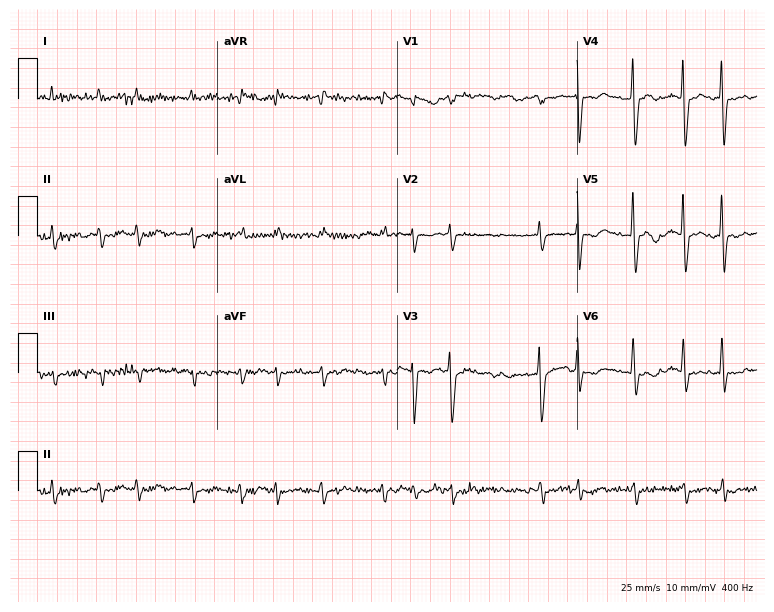
Resting 12-lead electrocardiogram. Patient: a male, 88 years old. The tracing shows atrial fibrillation.